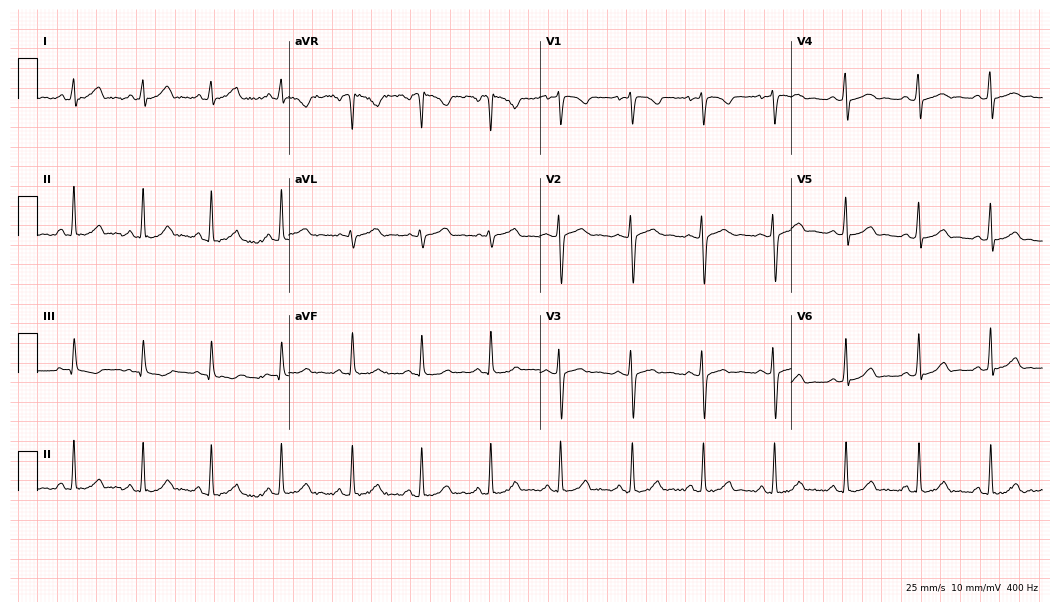
Standard 12-lead ECG recorded from a 19-year-old woman (10.2-second recording at 400 Hz). None of these six findings is recorded: first-degree AV block, right bundle branch block, left bundle branch block, sinus bradycardia, atrial fibrillation, sinus tachycardia. Only these six findings were labelled.